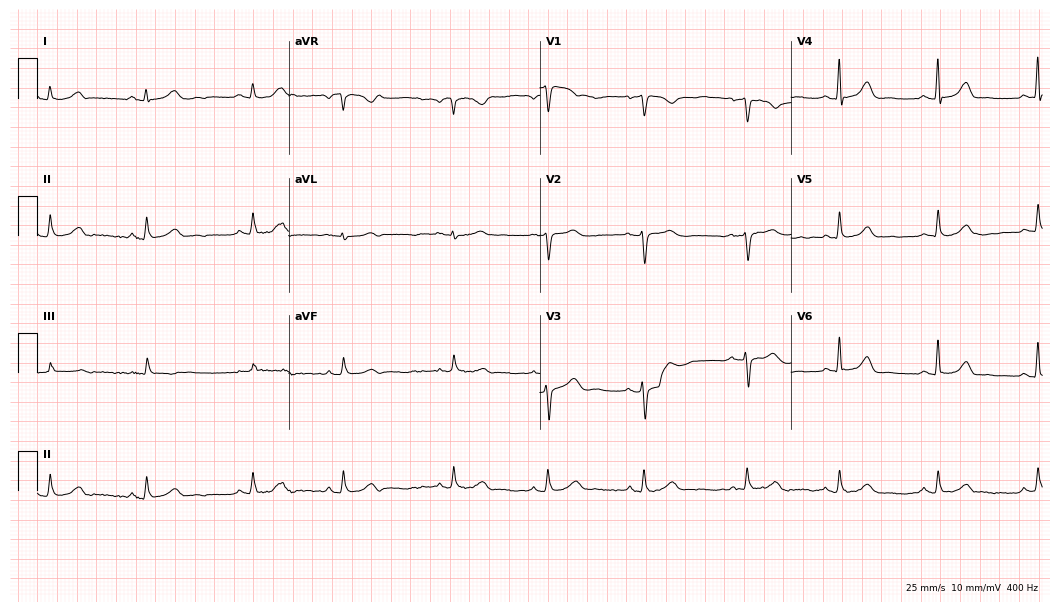
Electrocardiogram (10.2-second recording at 400 Hz), a woman, 44 years old. Overall reading on record: normal ECG.